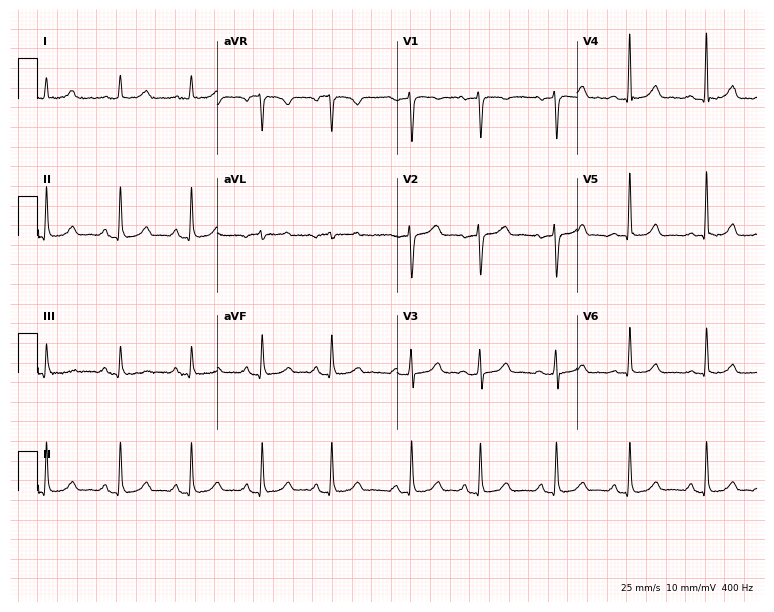
Standard 12-lead ECG recorded from a 42-year-old woman. Read as a normal ECG.